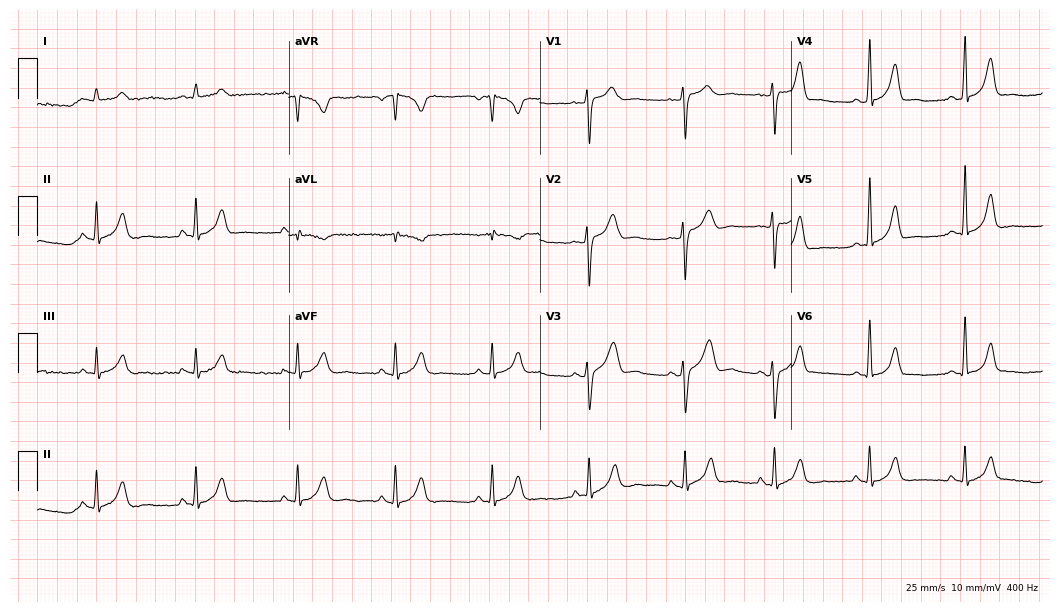
Standard 12-lead ECG recorded from a female, 33 years old (10.2-second recording at 400 Hz). None of these six findings is recorded: first-degree AV block, right bundle branch block, left bundle branch block, sinus bradycardia, atrial fibrillation, sinus tachycardia. Other findings, if any, are not listed.